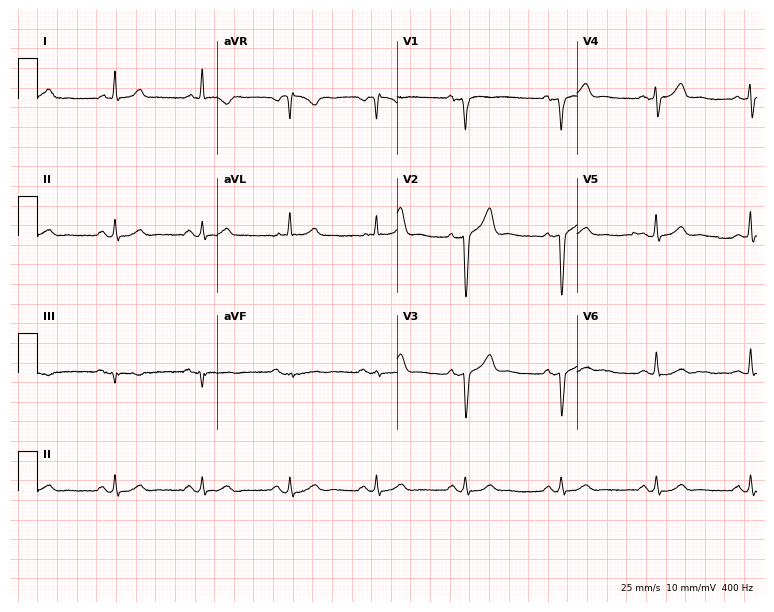
Standard 12-lead ECG recorded from a 60-year-old male. None of these six findings is recorded: first-degree AV block, right bundle branch block (RBBB), left bundle branch block (LBBB), sinus bradycardia, atrial fibrillation (AF), sinus tachycardia.